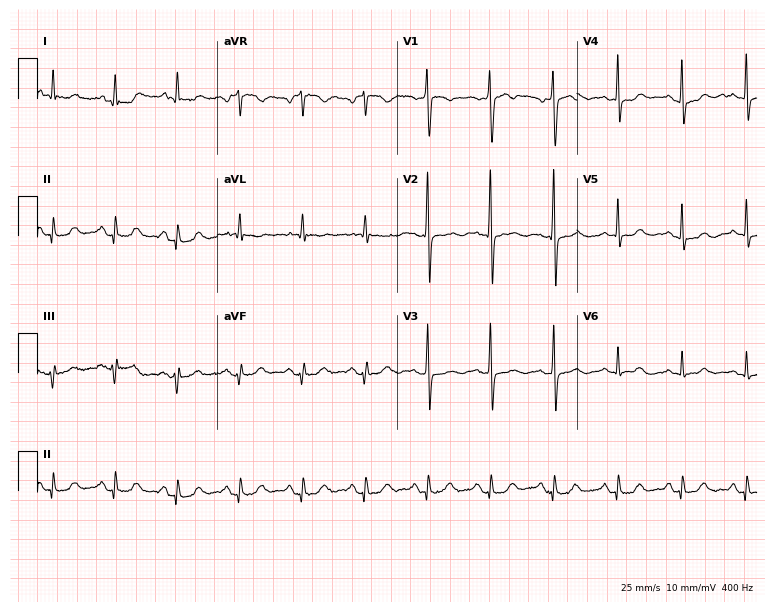
ECG — a female patient, 57 years old. Screened for six findings — first-degree AV block, right bundle branch block (RBBB), left bundle branch block (LBBB), sinus bradycardia, atrial fibrillation (AF), sinus tachycardia — none is recorded.